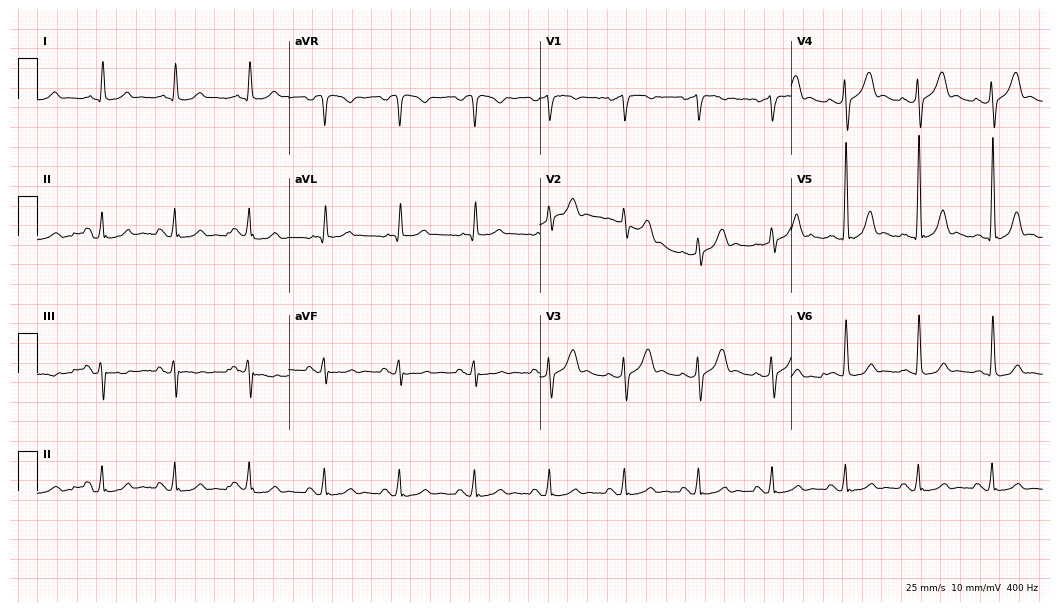
12-lead ECG from a 57-year-old female (10.2-second recording at 400 Hz). Recorded interpretation: within normal limits.